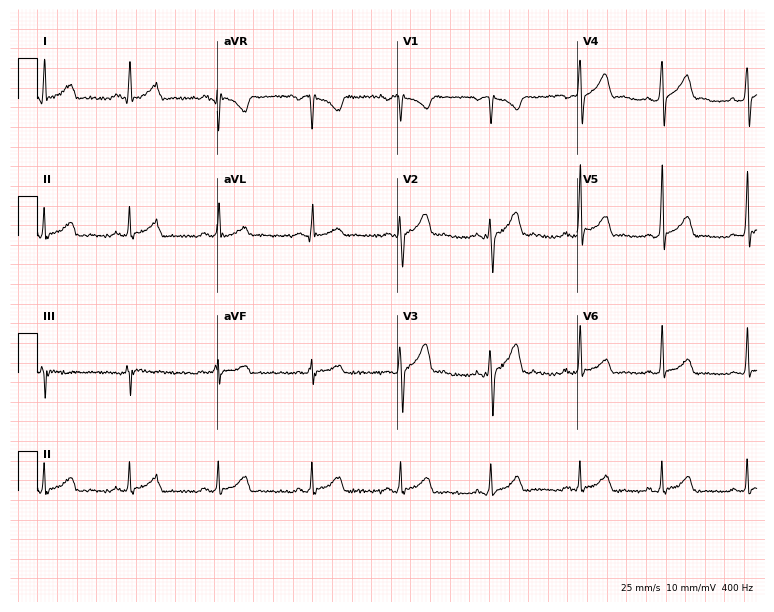
Resting 12-lead electrocardiogram (7.3-second recording at 400 Hz). Patient: a 17-year-old man. Read as a normal ECG.